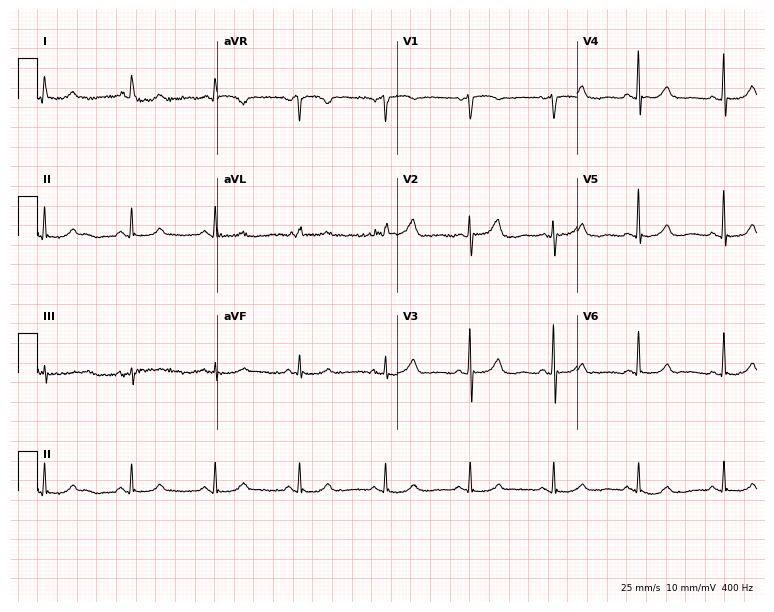
12-lead ECG from a female patient, 73 years old (7.3-second recording at 400 Hz). No first-degree AV block, right bundle branch block, left bundle branch block, sinus bradycardia, atrial fibrillation or sinus tachycardia recorded for this tracing.